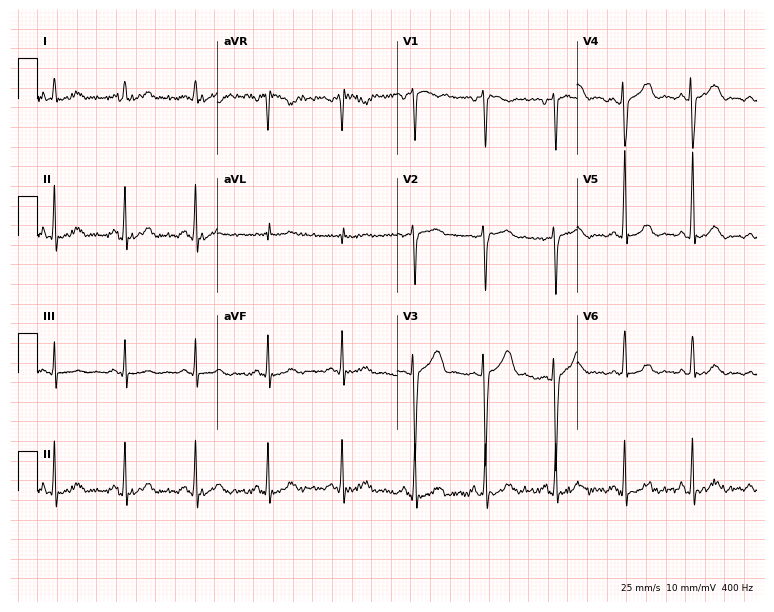
12-lead ECG (7.3-second recording at 400 Hz) from a 43-year-old male patient. Screened for six findings — first-degree AV block, right bundle branch block, left bundle branch block, sinus bradycardia, atrial fibrillation, sinus tachycardia — none is recorded.